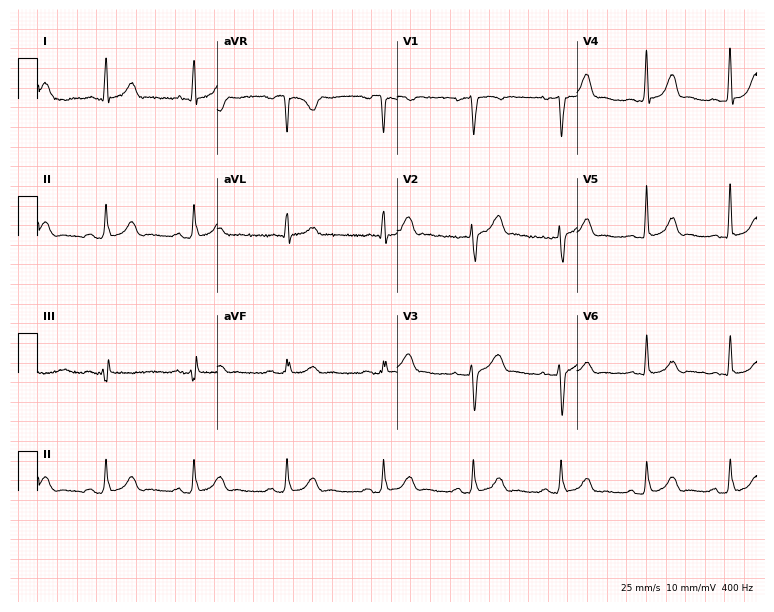
Resting 12-lead electrocardiogram. Patient: a 24-year-old male. Read as a normal ECG.